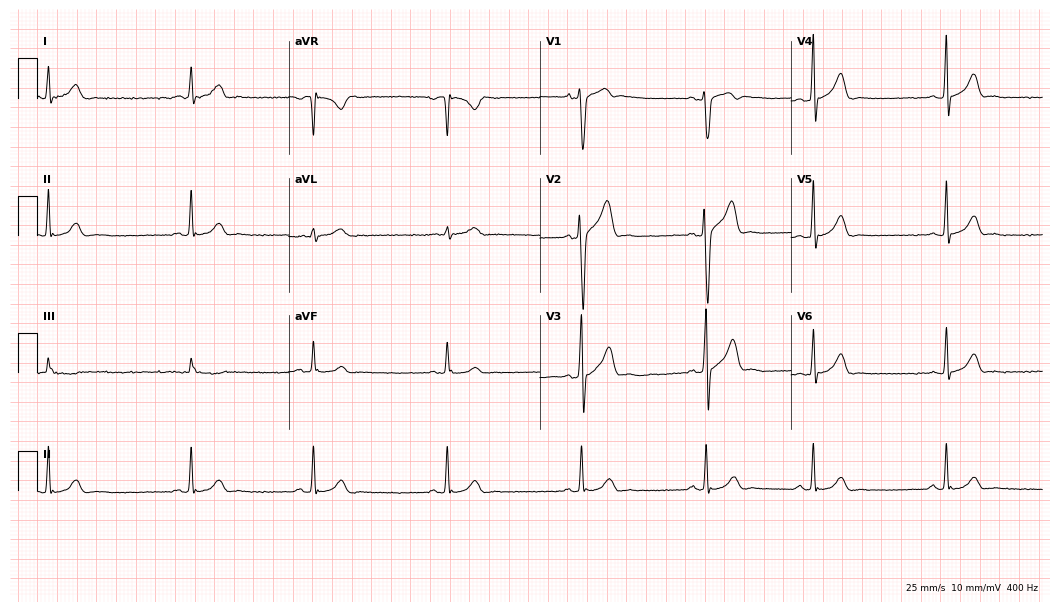
ECG — a man, 25 years old. Labelled as a normal ECG.